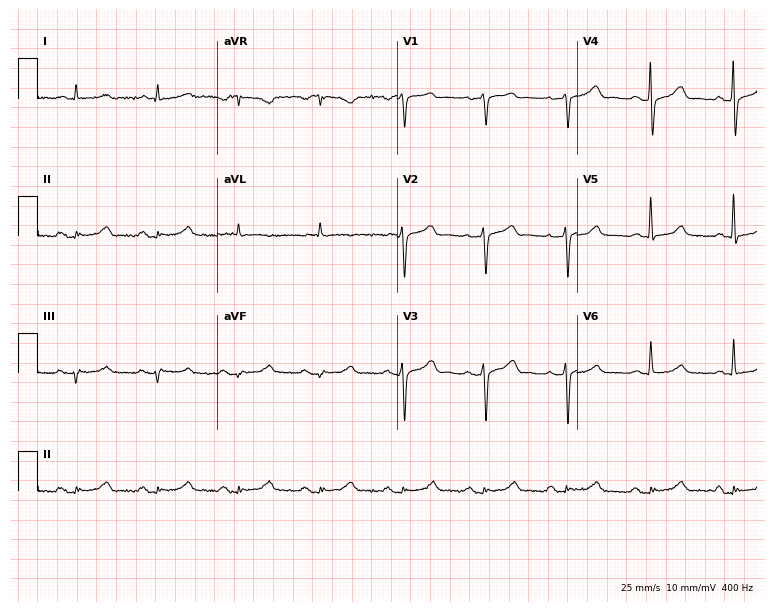
ECG (7.3-second recording at 400 Hz) — a 70-year-old man. Labelled as a normal ECG.